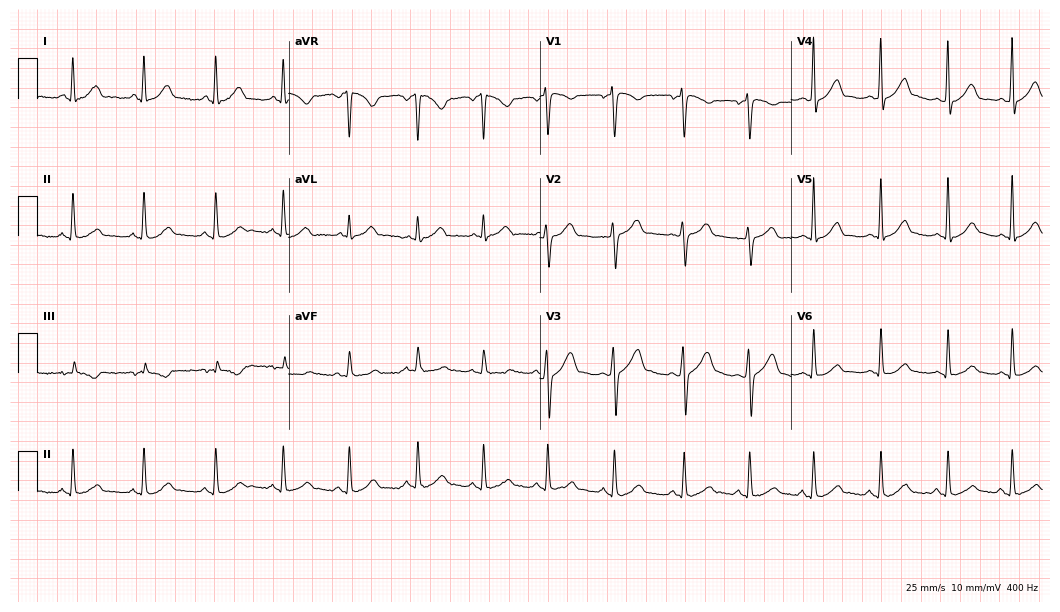
Standard 12-lead ECG recorded from a 31-year-old female patient (10.2-second recording at 400 Hz). Read as a normal ECG.